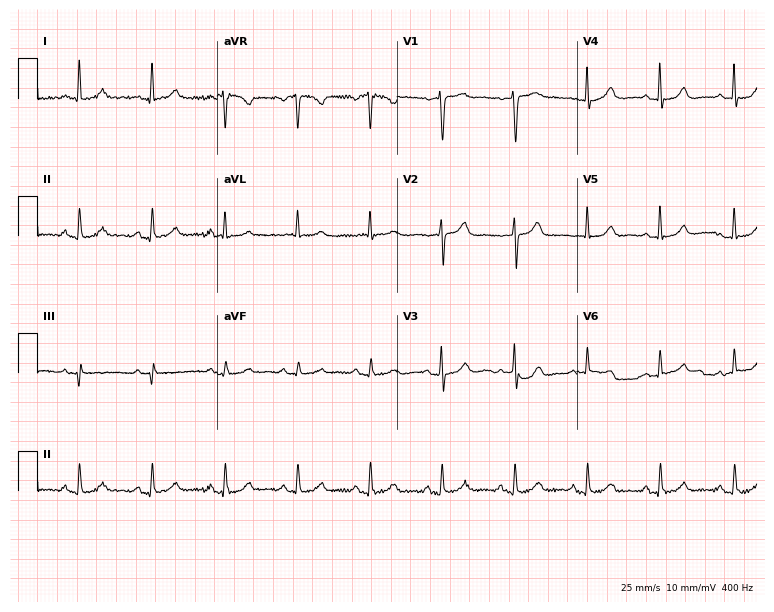
Standard 12-lead ECG recorded from a 63-year-old female patient (7.3-second recording at 400 Hz). Read as a normal ECG.